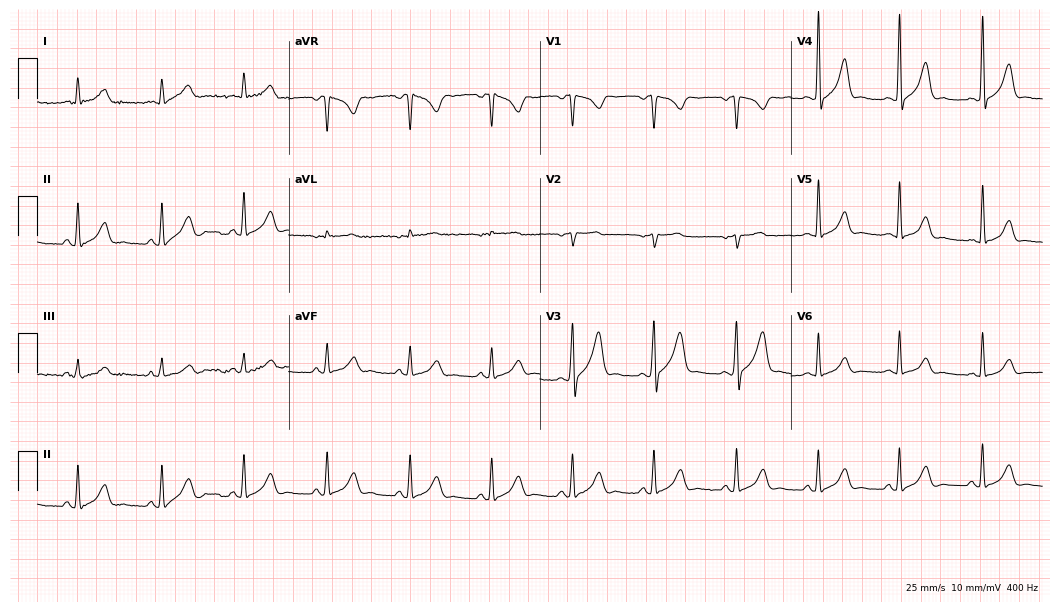
Standard 12-lead ECG recorded from a 42-year-old man. None of these six findings is recorded: first-degree AV block, right bundle branch block (RBBB), left bundle branch block (LBBB), sinus bradycardia, atrial fibrillation (AF), sinus tachycardia. Findings outside these six are not listed.